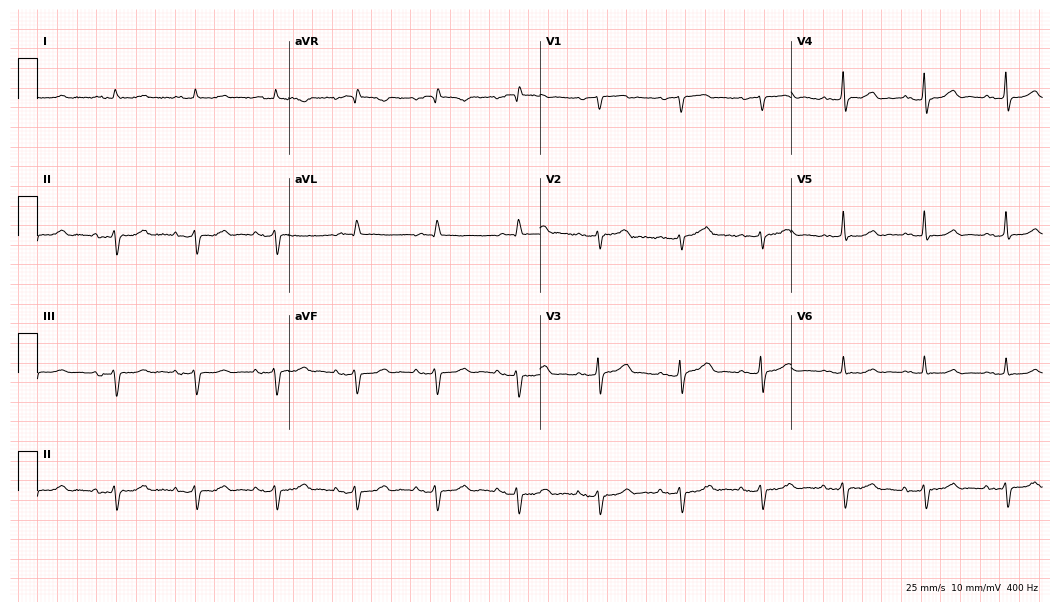
12-lead ECG (10.2-second recording at 400 Hz) from a 30-year-old man. Screened for six findings — first-degree AV block, right bundle branch block, left bundle branch block, sinus bradycardia, atrial fibrillation, sinus tachycardia — none is recorded. Other findings, if any, are not listed.